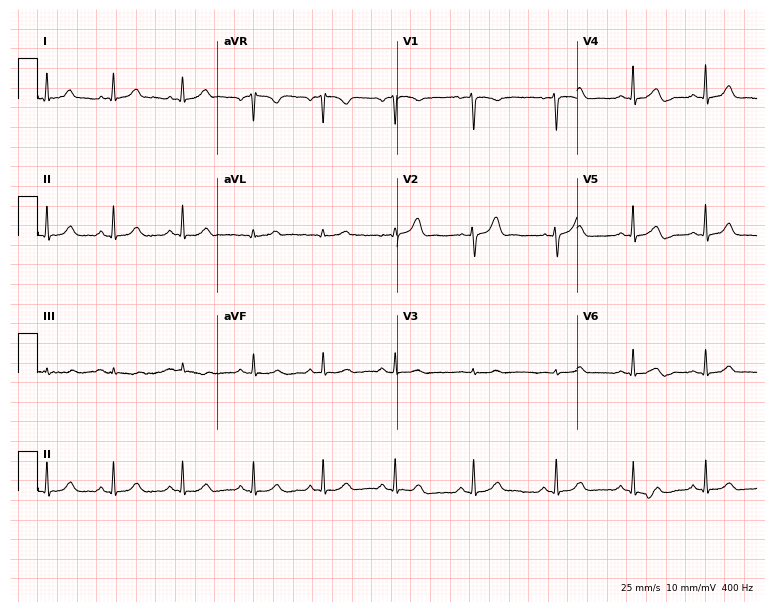
Resting 12-lead electrocardiogram. Patient: a woman, 28 years old. None of these six findings is recorded: first-degree AV block, right bundle branch block, left bundle branch block, sinus bradycardia, atrial fibrillation, sinus tachycardia. Other findings, if any, are not listed.